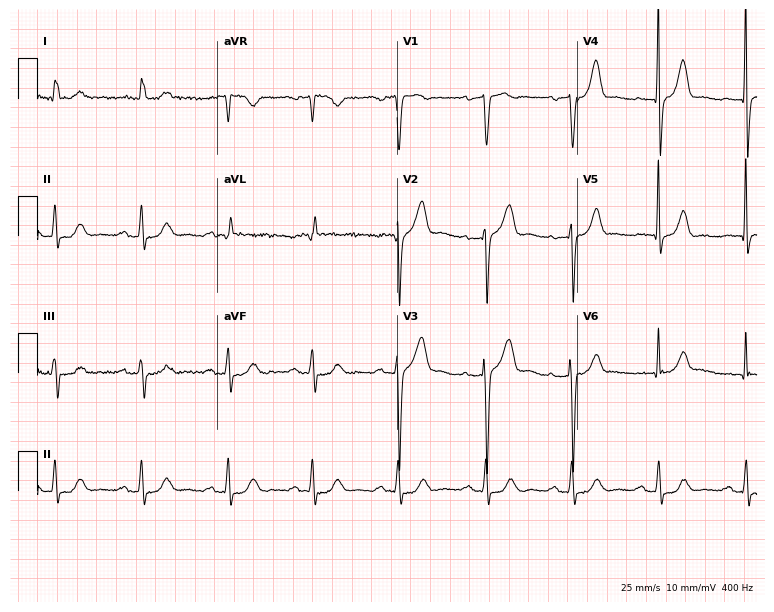
Resting 12-lead electrocardiogram (7.3-second recording at 400 Hz). Patient: a 69-year-old male. Read as a normal ECG.